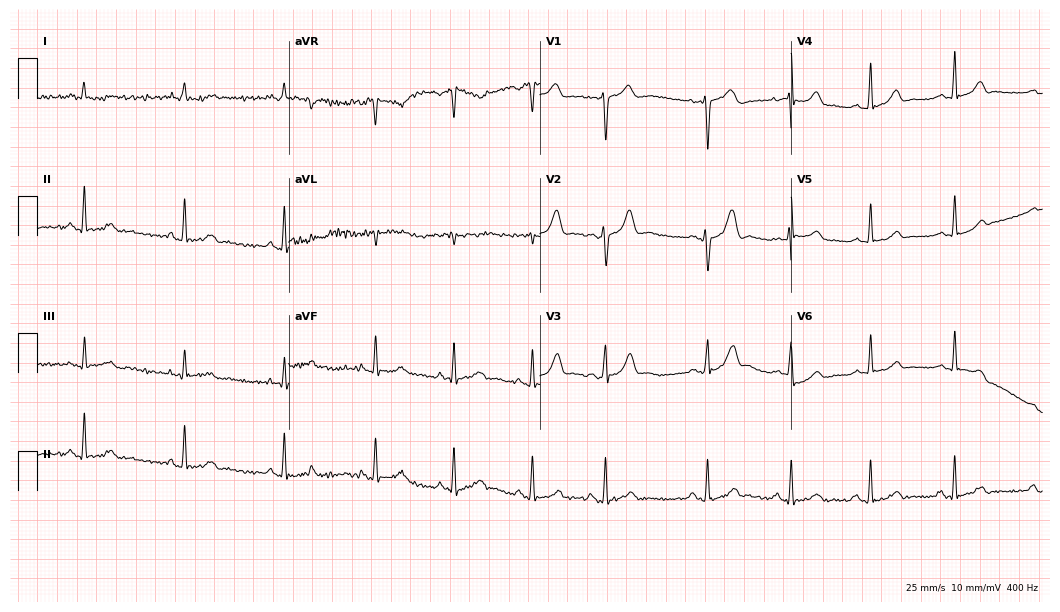
Electrocardiogram (10.2-second recording at 400 Hz), a woman, 28 years old. Of the six screened findings (first-degree AV block, right bundle branch block (RBBB), left bundle branch block (LBBB), sinus bradycardia, atrial fibrillation (AF), sinus tachycardia), none is recorded.